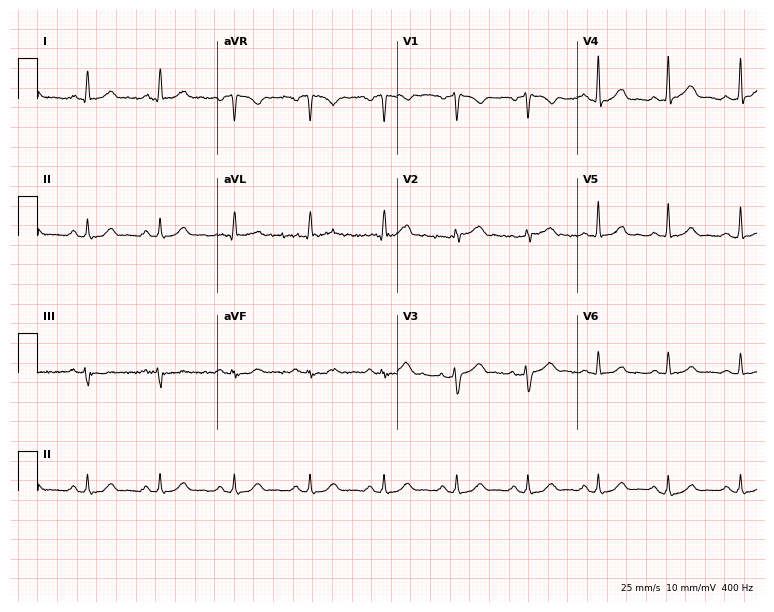
Electrocardiogram (7.3-second recording at 400 Hz), a male, 54 years old. Overall reading on record: normal ECG.